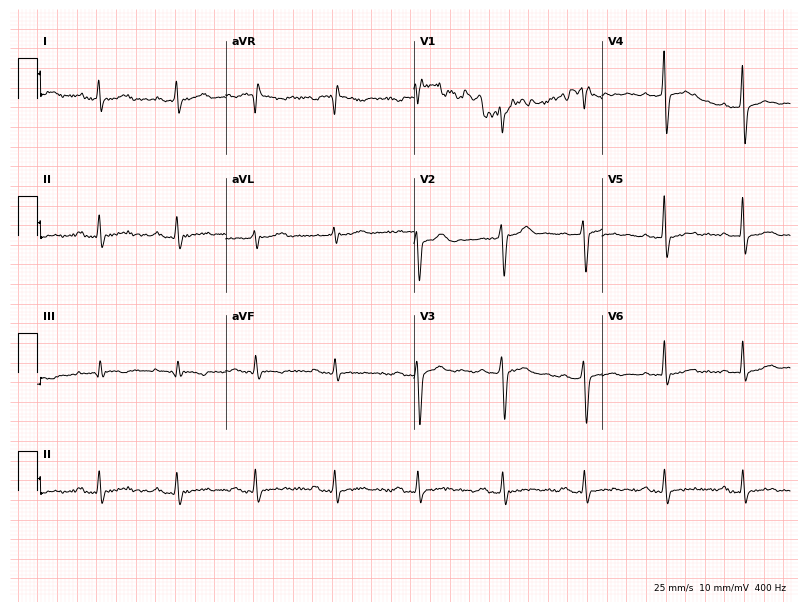
Resting 12-lead electrocardiogram (7.7-second recording at 400 Hz). Patient: a 43-year-old male. None of these six findings is recorded: first-degree AV block, right bundle branch block (RBBB), left bundle branch block (LBBB), sinus bradycardia, atrial fibrillation (AF), sinus tachycardia. Findings outside these six are not listed.